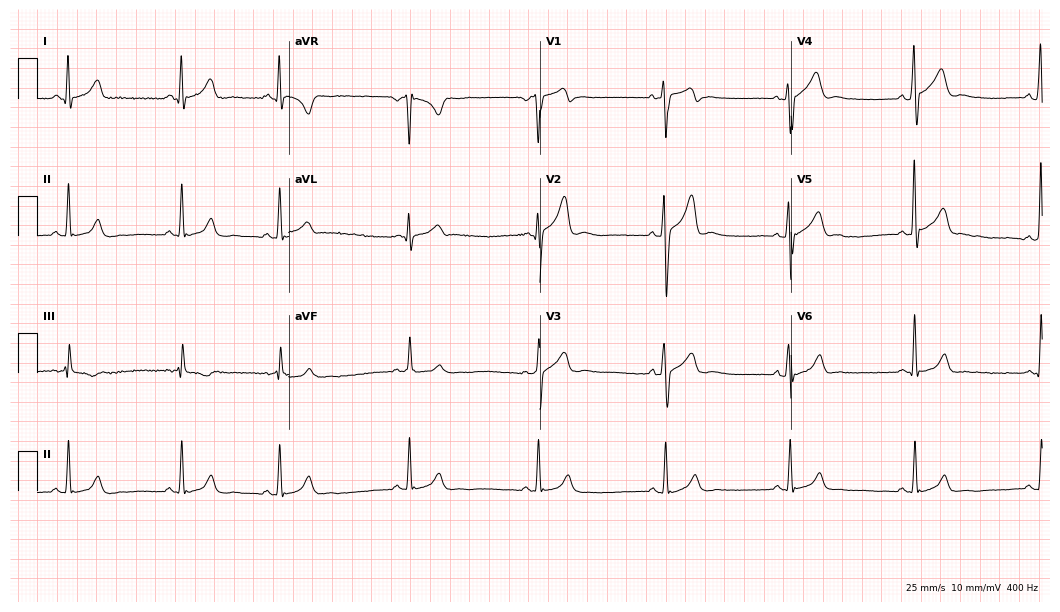
12-lead ECG from a male, 39 years old (10.2-second recording at 400 Hz). No first-degree AV block, right bundle branch block, left bundle branch block, sinus bradycardia, atrial fibrillation or sinus tachycardia recorded for this tracing.